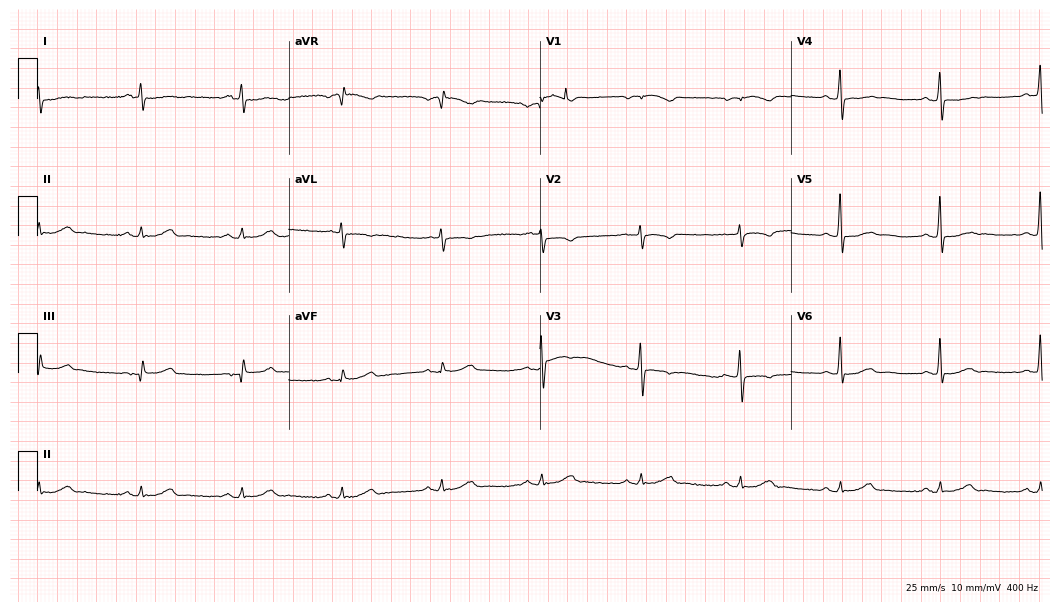
Standard 12-lead ECG recorded from a man, 65 years old (10.2-second recording at 400 Hz). Read as a normal ECG.